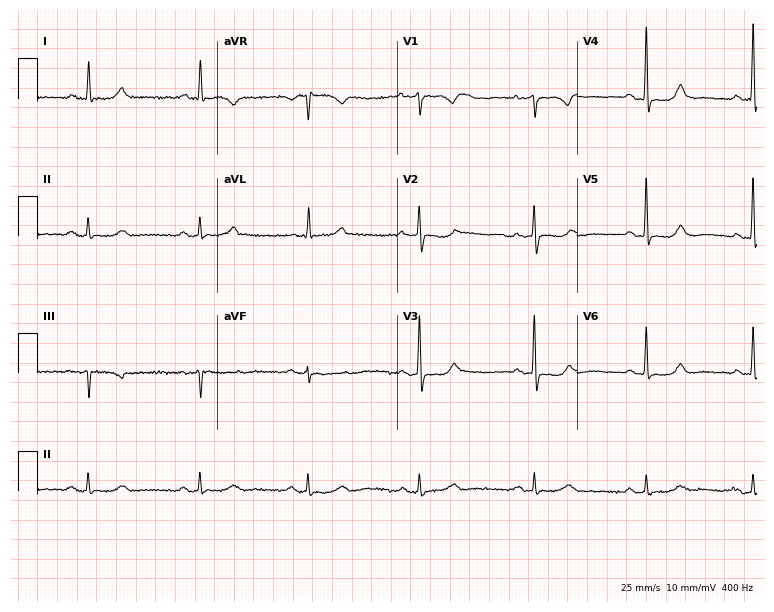
Standard 12-lead ECG recorded from a 48-year-old female. None of these six findings is recorded: first-degree AV block, right bundle branch block, left bundle branch block, sinus bradycardia, atrial fibrillation, sinus tachycardia.